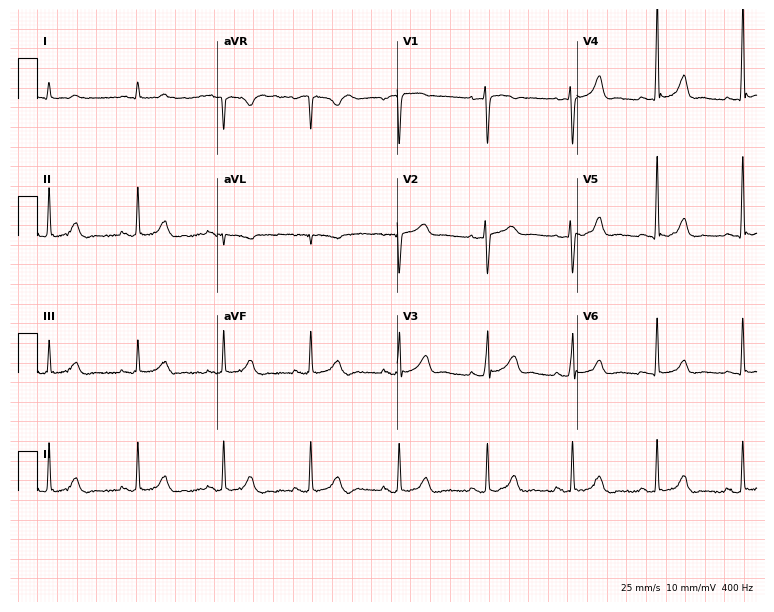
Standard 12-lead ECG recorded from a 47-year-old woman. Read as a normal ECG.